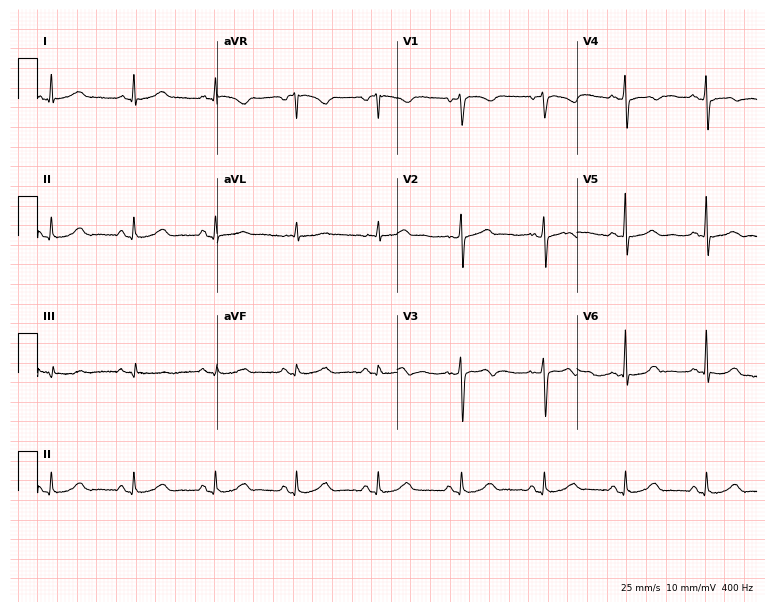
ECG — a female patient, 50 years old. Labelled as a normal ECG.